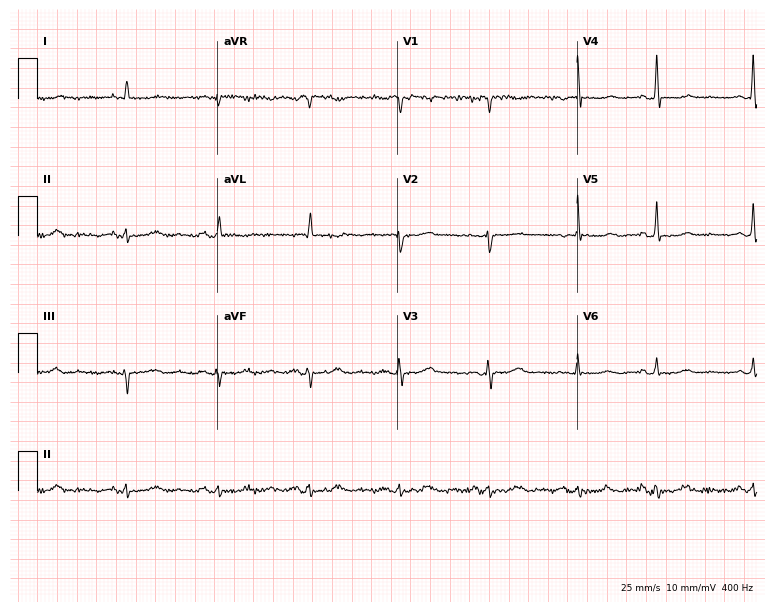
Electrocardiogram, a 70-year-old woman. Of the six screened findings (first-degree AV block, right bundle branch block (RBBB), left bundle branch block (LBBB), sinus bradycardia, atrial fibrillation (AF), sinus tachycardia), none is recorded.